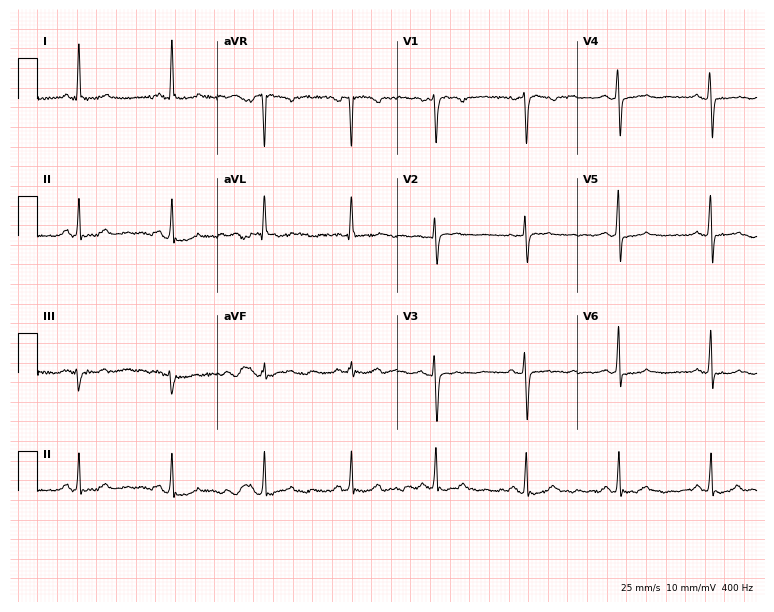
Standard 12-lead ECG recorded from a 50-year-old female (7.3-second recording at 400 Hz). None of these six findings is recorded: first-degree AV block, right bundle branch block (RBBB), left bundle branch block (LBBB), sinus bradycardia, atrial fibrillation (AF), sinus tachycardia. Other findings, if any, are not listed.